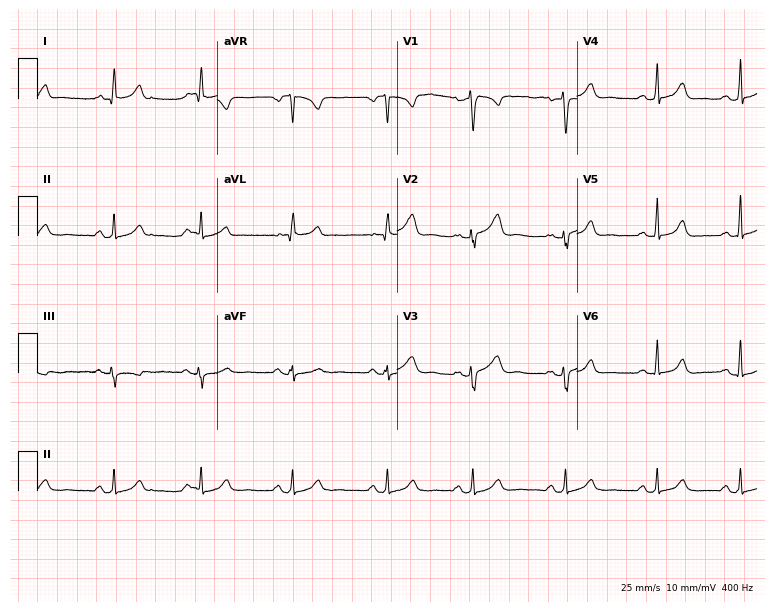
ECG — a 22-year-old female. Labelled as a normal ECG.